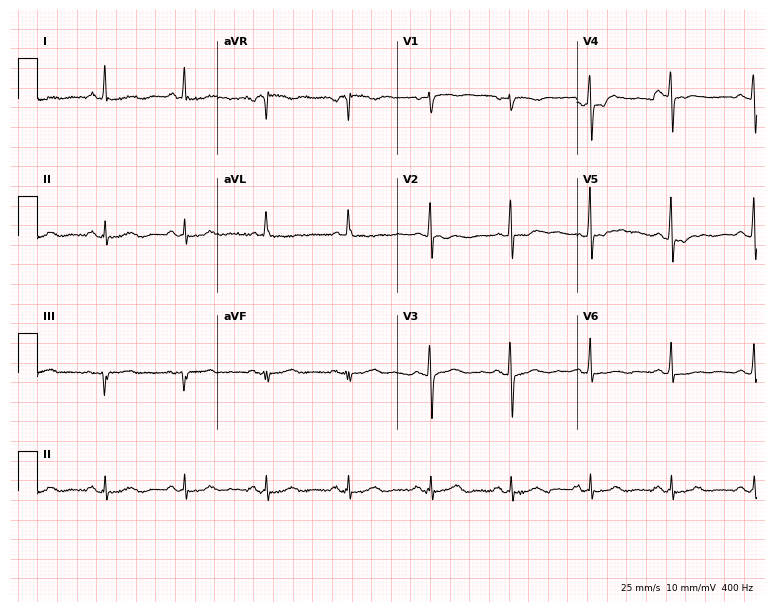
12-lead ECG from a 58-year-old female patient. Screened for six findings — first-degree AV block, right bundle branch block, left bundle branch block, sinus bradycardia, atrial fibrillation, sinus tachycardia — none is recorded. Other findings, if any, are not listed.